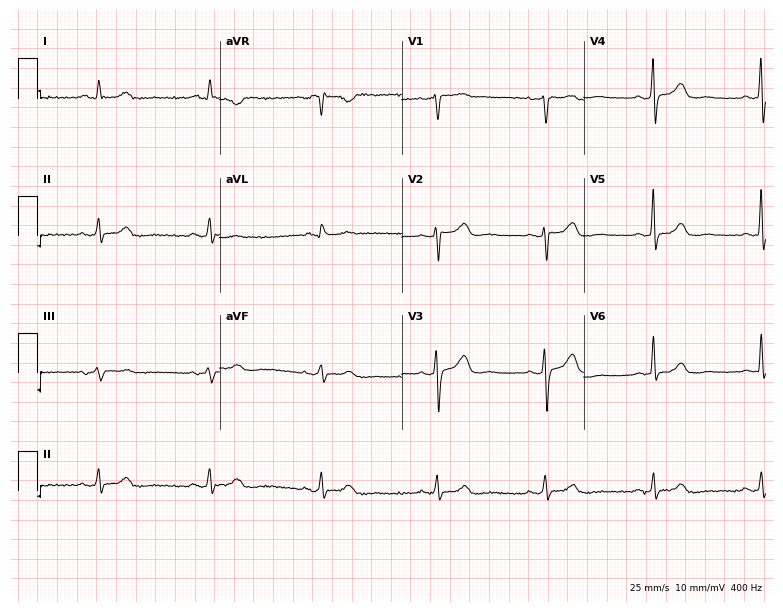
Resting 12-lead electrocardiogram. Patient: a 54-year-old woman. Read as a normal ECG.